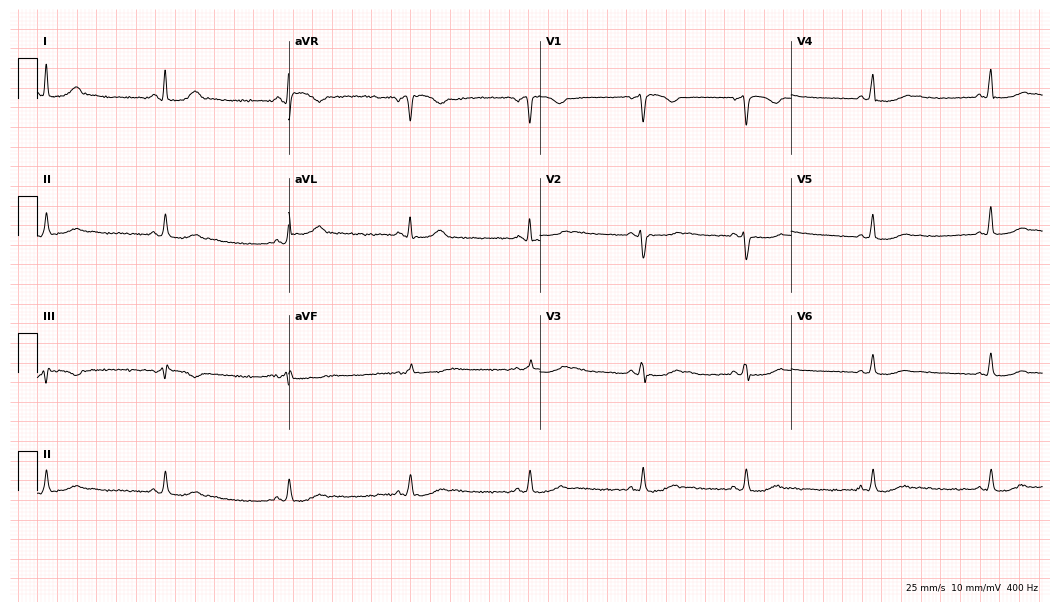
12-lead ECG (10.2-second recording at 400 Hz) from a 37-year-old female. Findings include sinus bradycardia (a sinus rate of 50 beats per minute or less).